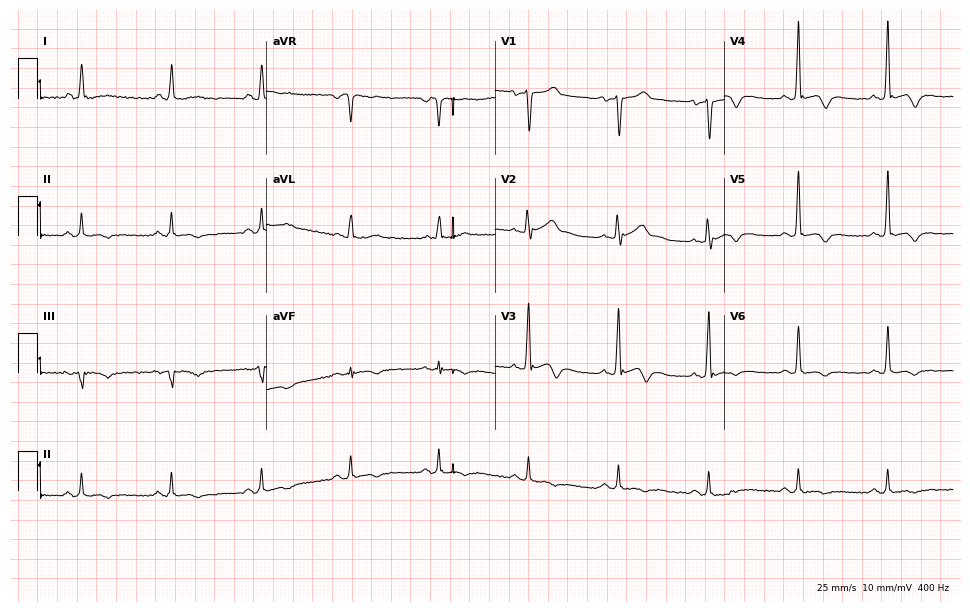
Electrocardiogram (9.3-second recording at 400 Hz), a man, 57 years old. Of the six screened findings (first-degree AV block, right bundle branch block, left bundle branch block, sinus bradycardia, atrial fibrillation, sinus tachycardia), none is recorded. Only these six findings were labelled.